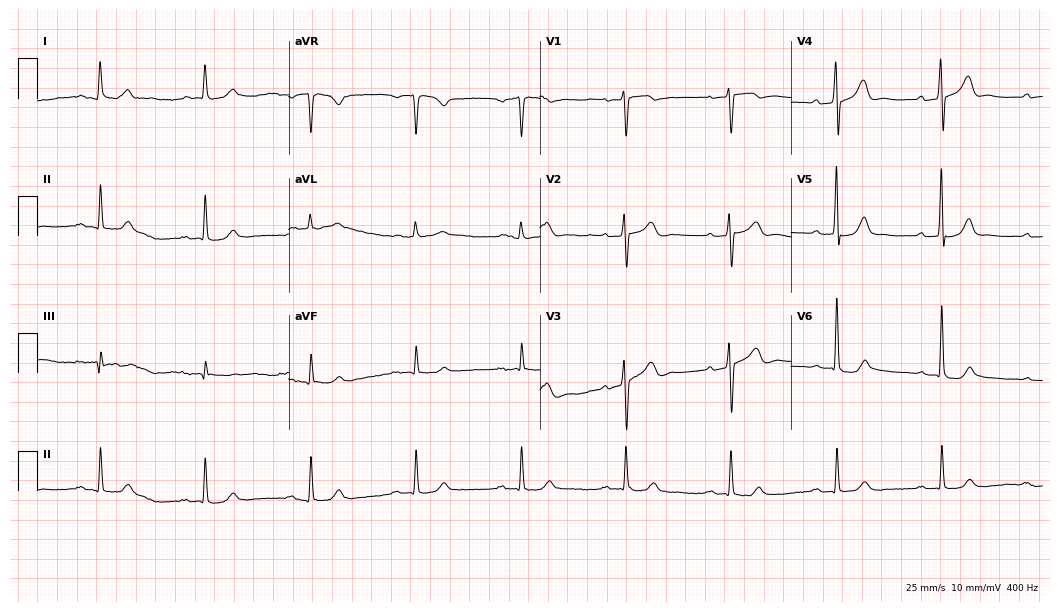
Standard 12-lead ECG recorded from a male, 77 years old (10.2-second recording at 400 Hz). The tracing shows first-degree AV block.